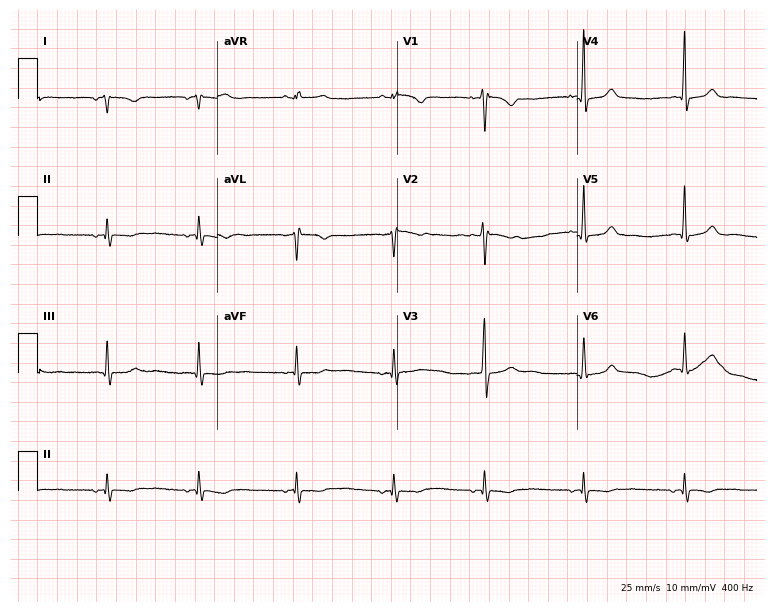
ECG — a female, 31 years old. Screened for six findings — first-degree AV block, right bundle branch block, left bundle branch block, sinus bradycardia, atrial fibrillation, sinus tachycardia — none is recorded. Findings outside these six are not listed.